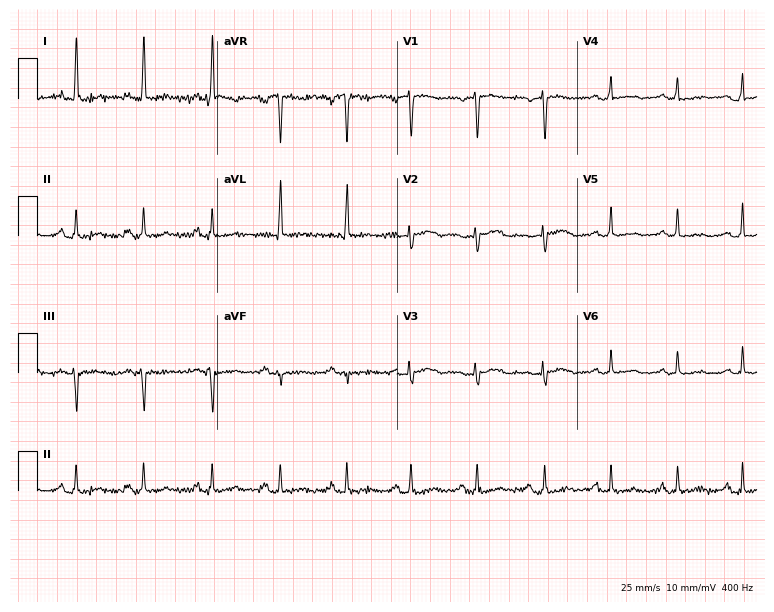
12-lead ECG (7.3-second recording at 400 Hz) from a female patient, 45 years old. Labelled as a normal ECG.